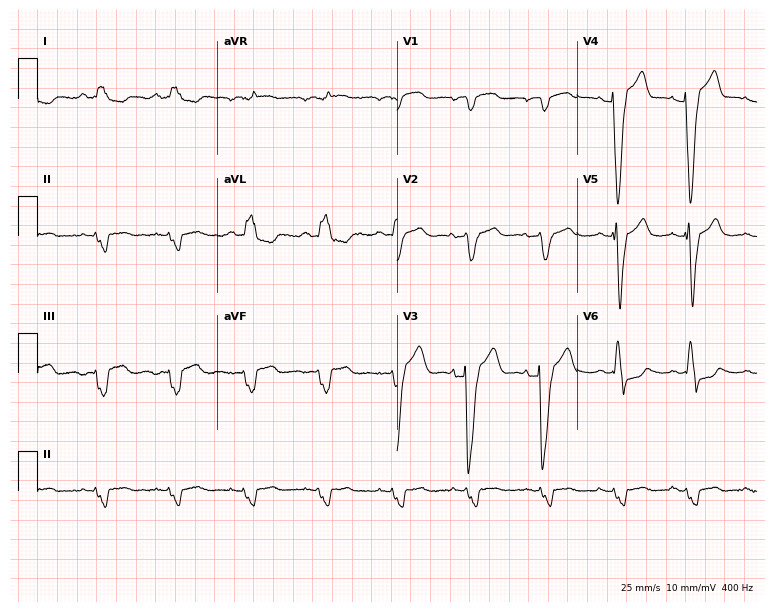
Standard 12-lead ECG recorded from a 65-year-old female (7.3-second recording at 400 Hz). None of these six findings is recorded: first-degree AV block, right bundle branch block, left bundle branch block, sinus bradycardia, atrial fibrillation, sinus tachycardia. Findings outside these six are not listed.